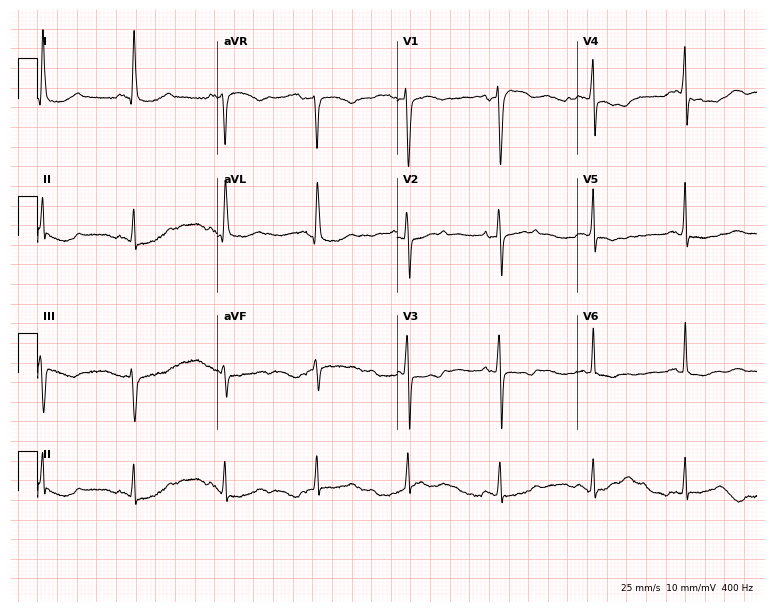
ECG — a female patient, 62 years old. Screened for six findings — first-degree AV block, right bundle branch block (RBBB), left bundle branch block (LBBB), sinus bradycardia, atrial fibrillation (AF), sinus tachycardia — none is recorded.